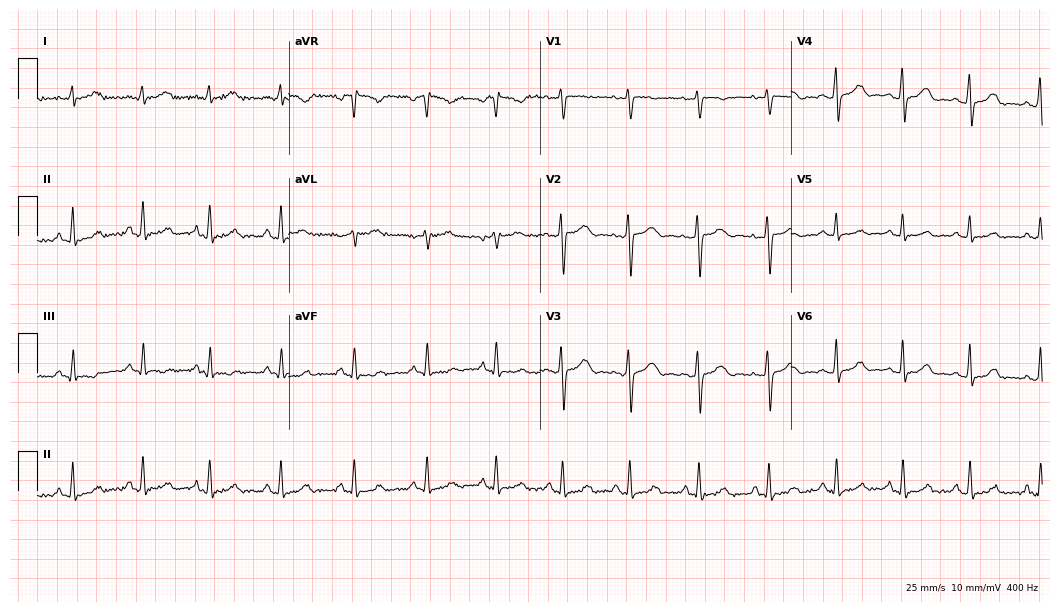
Electrocardiogram (10.2-second recording at 400 Hz), a 50-year-old female. Overall reading on record: normal ECG.